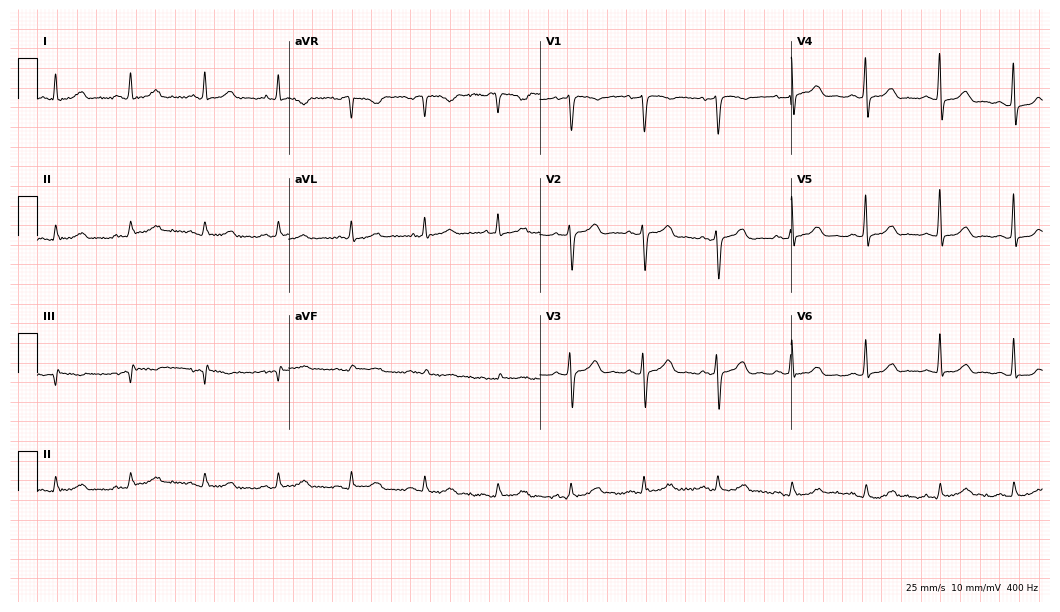
Resting 12-lead electrocardiogram (10.2-second recording at 400 Hz). Patient: a 66-year-old female. Read as a normal ECG.